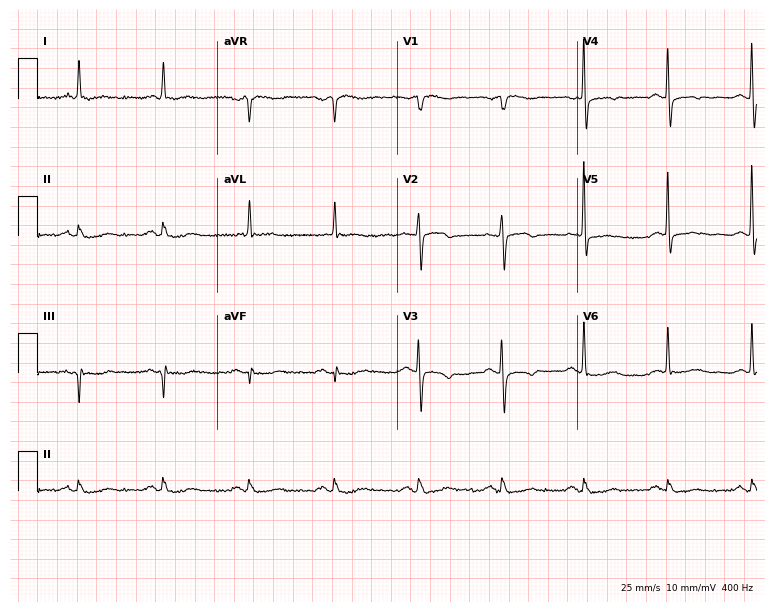
Standard 12-lead ECG recorded from an 81-year-old female. None of these six findings is recorded: first-degree AV block, right bundle branch block, left bundle branch block, sinus bradycardia, atrial fibrillation, sinus tachycardia. Other findings, if any, are not listed.